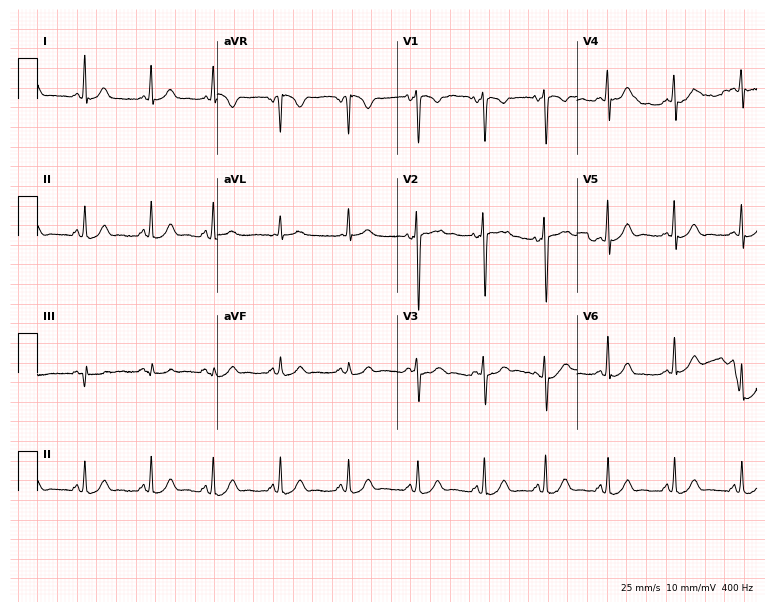
ECG — a female, 22 years old. Labelled as a normal ECG.